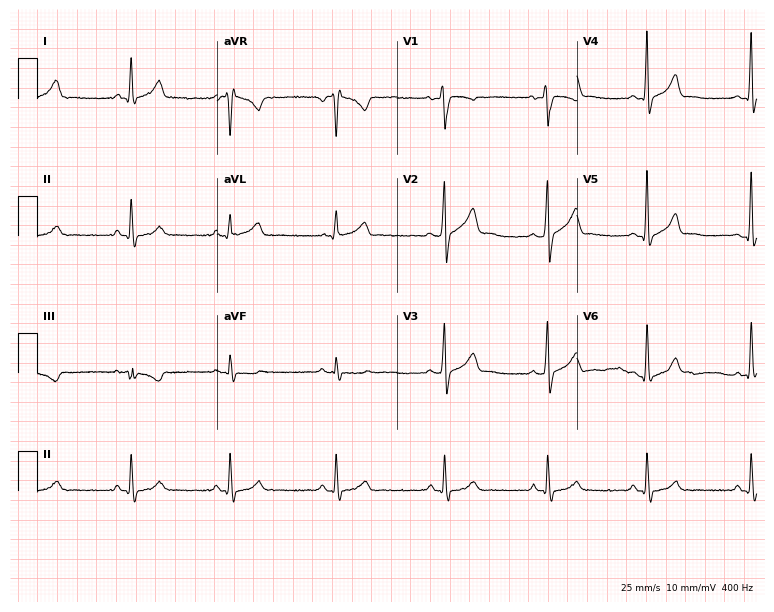
Standard 12-lead ECG recorded from a 28-year-old man (7.3-second recording at 400 Hz). Read as a normal ECG.